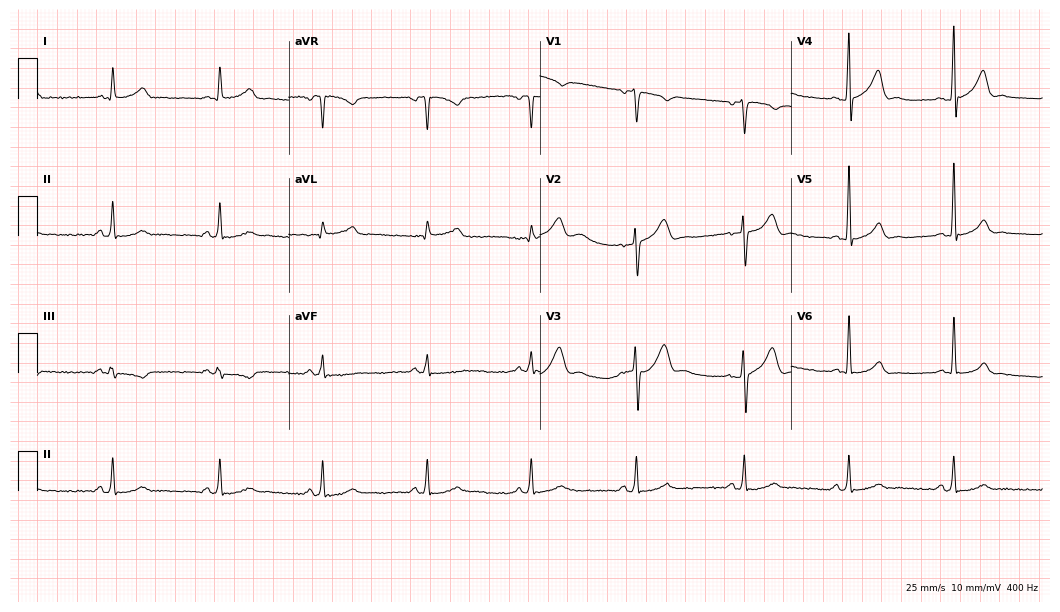
Standard 12-lead ECG recorded from a 46-year-old man (10.2-second recording at 400 Hz). Read as a normal ECG.